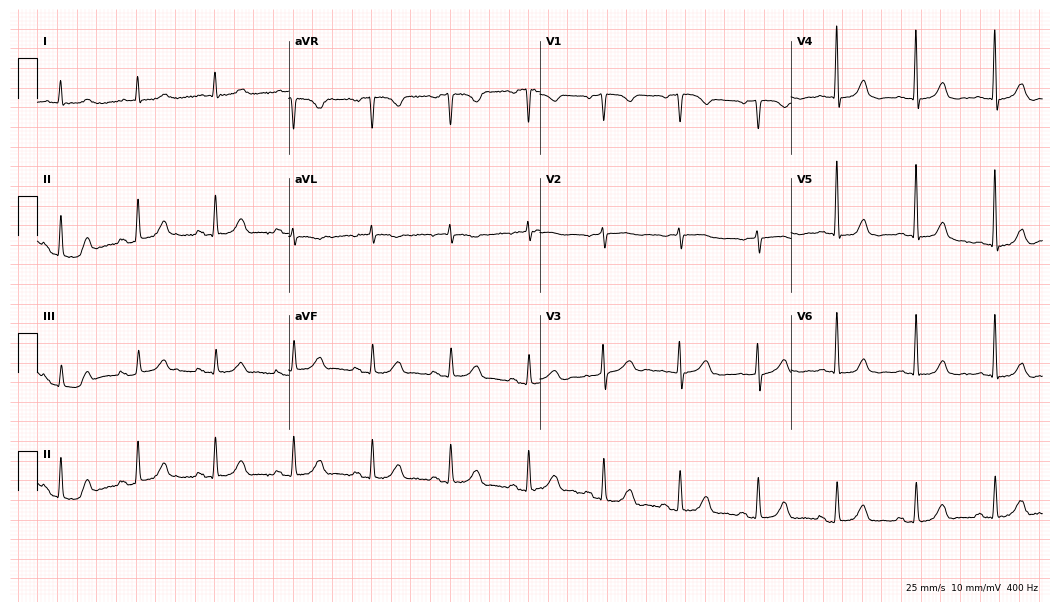
12-lead ECG (10.2-second recording at 400 Hz) from a female patient, 84 years old. Labelled as a normal ECG.